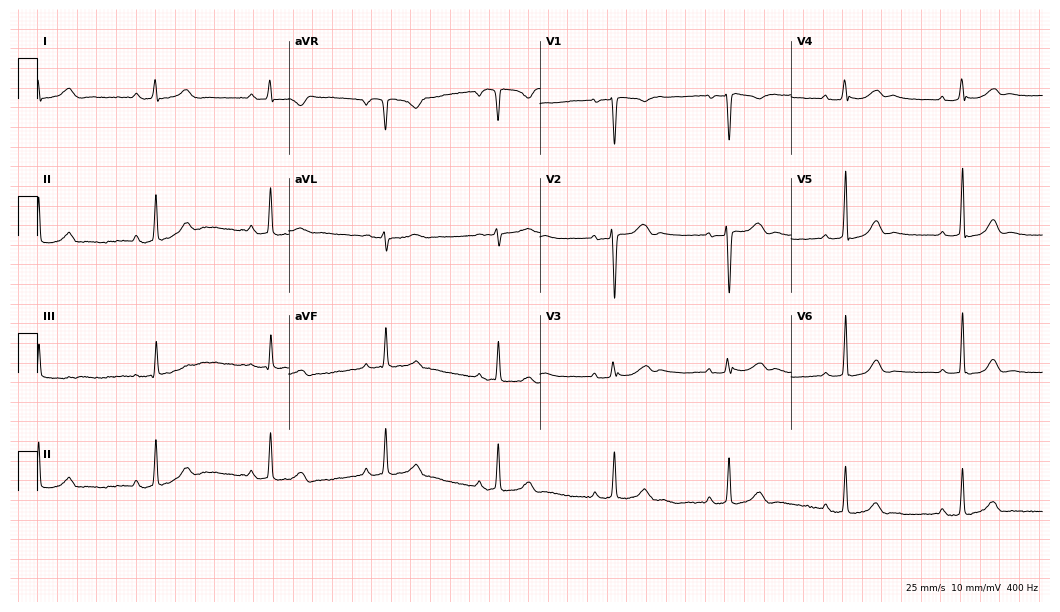
12-lead ECG (10.2-second recording at 400 Hz) from a 40-year-old female. Screened for six findings — first-degree AV block, right bundle branch block (RBBB), left bundle branch block (LBBB), sinus bradycardia, atrial fibrillation (AF), sinus tachycardia — none is recorded. Only these six findings were labelled.